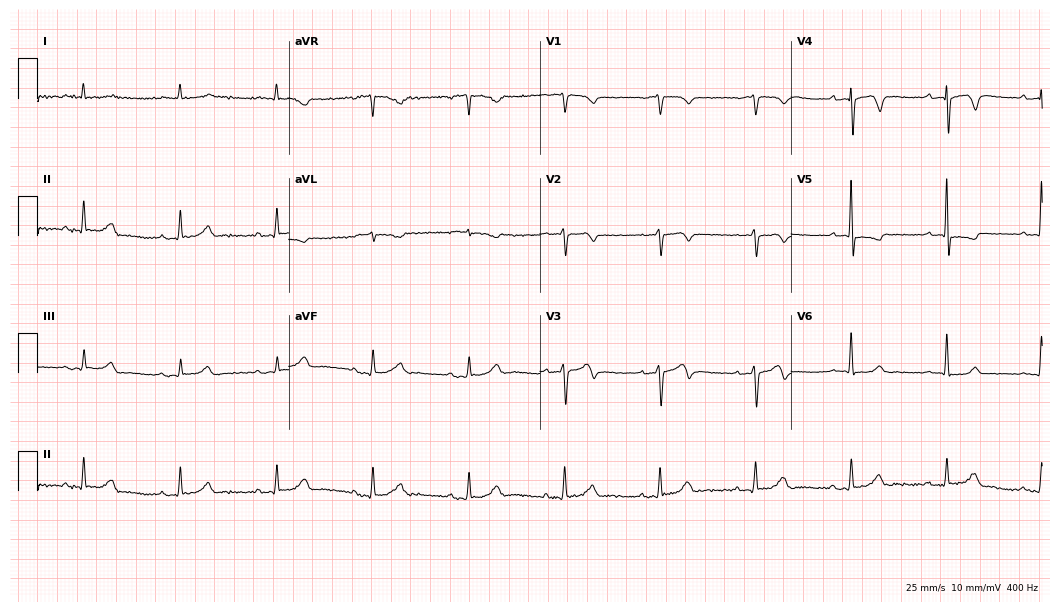
Resting 12-lead electrocardiogram. Patient: a female, 79 years old. None of these six findings is recorded: first-degree AV block, right bundle branch block, left bundle branch block, sinus bradycardia, atrial fibrillation, sinus tachycardia.